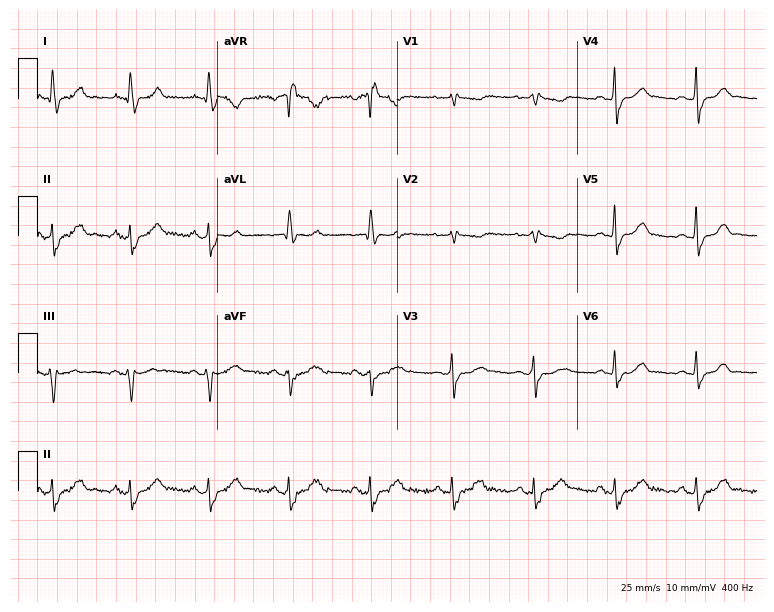
12-lead ECG (7.3-second recording at 400 Hz) from a 51-year-old female patient. Findings include right bundle branch block (RBBB).